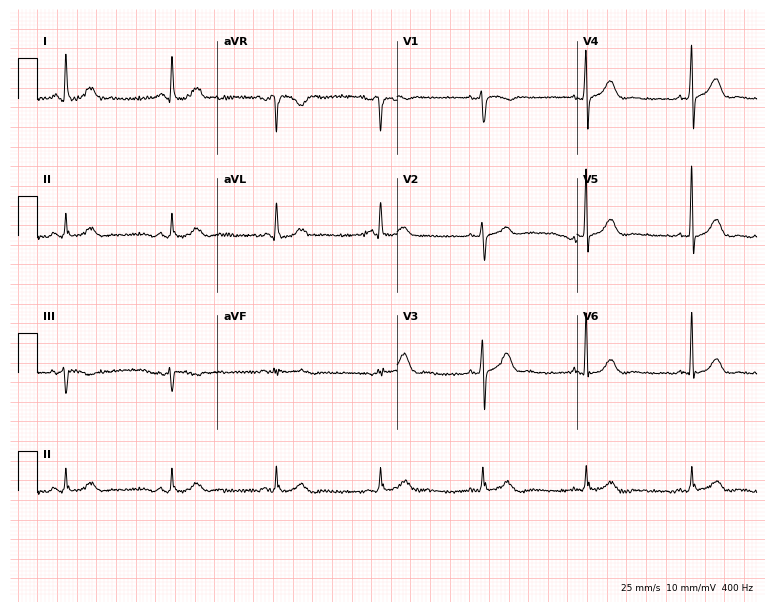
Standard 12-lead ECG recorded from a 69-year-old male patient (7.3-second recording at 400 Hz). None of these six findings is recorded: first-degree AV block, right bundle branch block, left bundle branch block, sinus bradycardia, atrial fibrillation, sinus tachycardia.